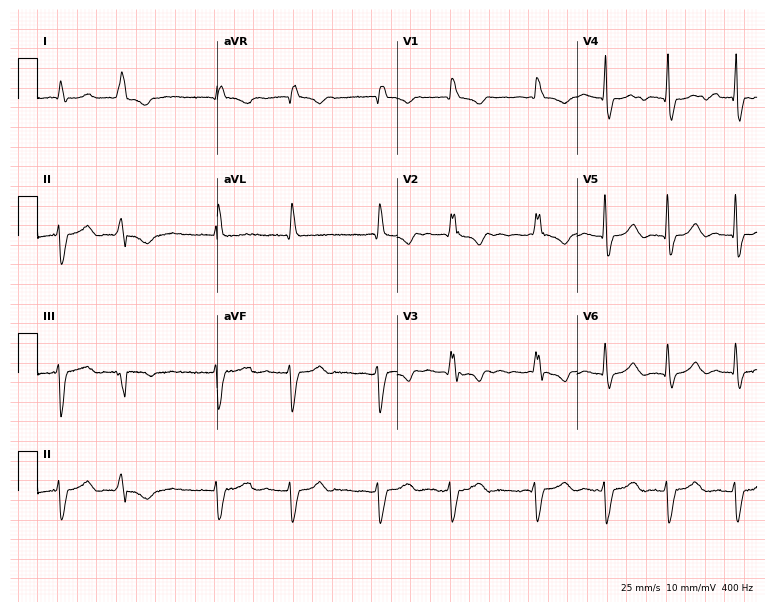
ECG — a 77-year-old man. Findings include right bundle branch block, atrial fibrillation.